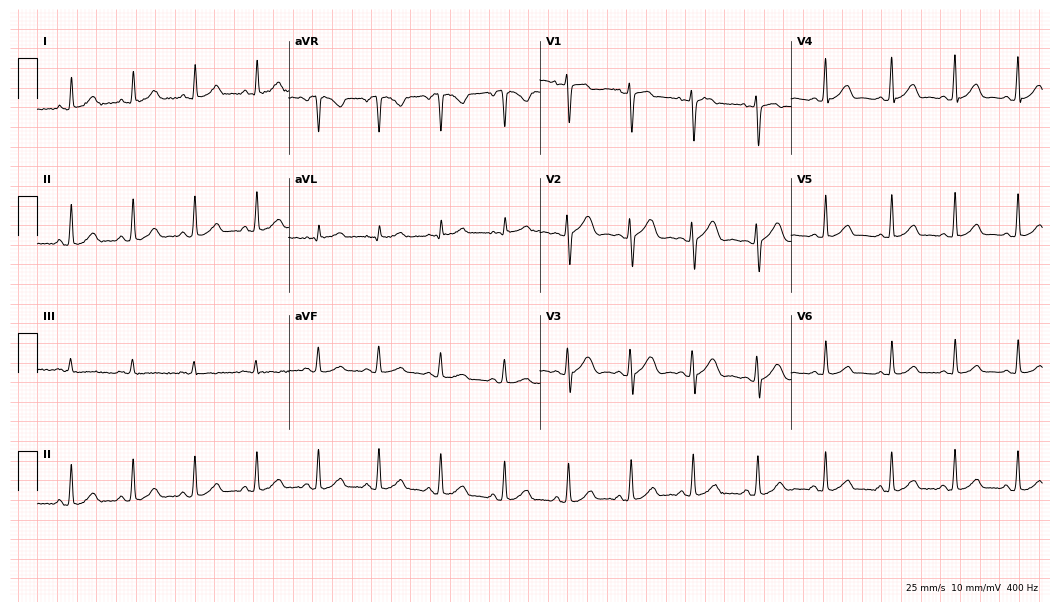
Electrocardiogram (10.2-second recording at 400 Hz), a woman, 33 years old. Of the six screened findings (first-degree AV block, right bundle branch block, left bundle branch block, sinus bradycardia, atrial fibrillation, sinus tachycardia), none is recorded.